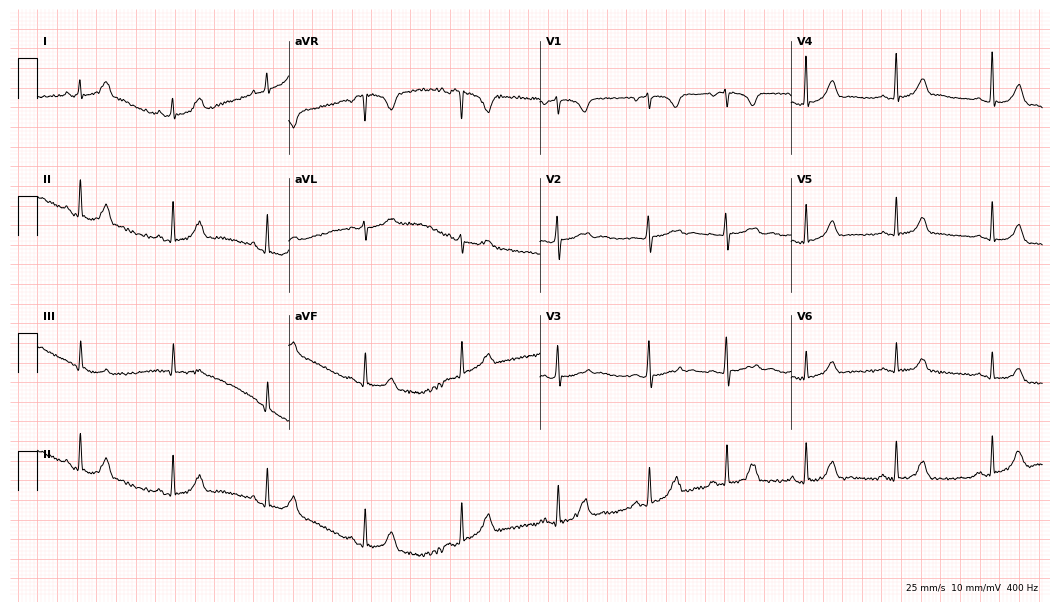
12-lead ECG from a 25-year-old female. Screened for six findings — first-degree AV block, right bundle branch block, left bundle branch block, sinus bradycardia, atrial fibrillation, sinus tachycardia — none is recorded.